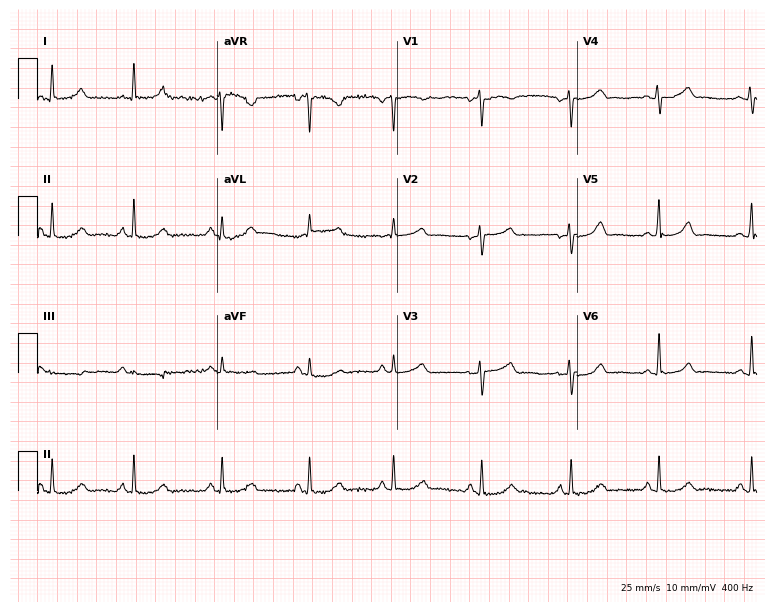
Electrocardiogram, a 53-year-old female patient. Overall reading on record: normal ECG.